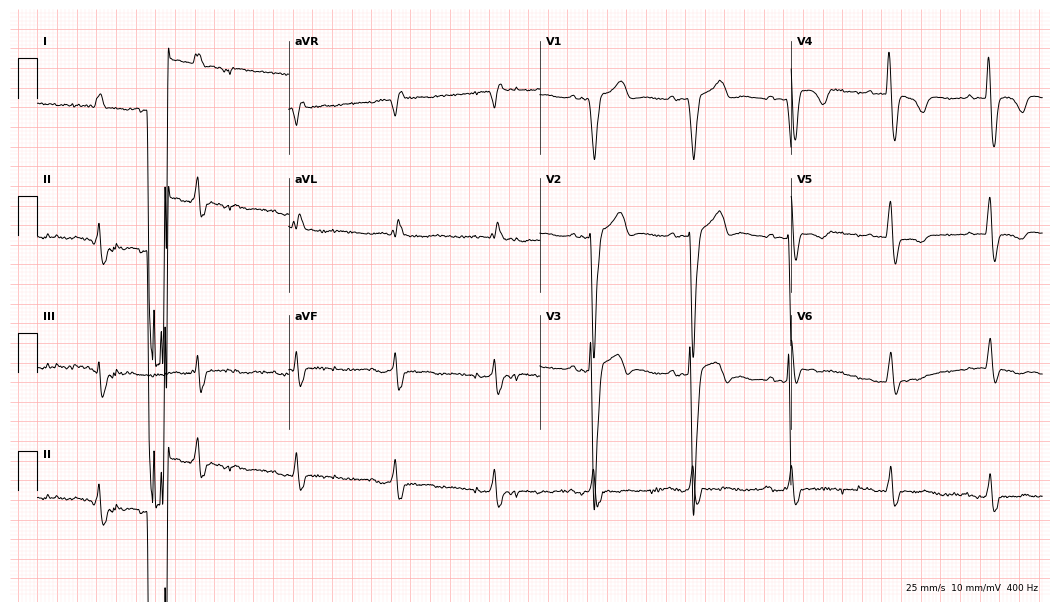
12-lead ECG (10.2-second recording at 400 Hz) from a 72-year-old man. Findings include left bundle branch block, sinus tachycardia (a sinus rate of 100 beats per minute or more).